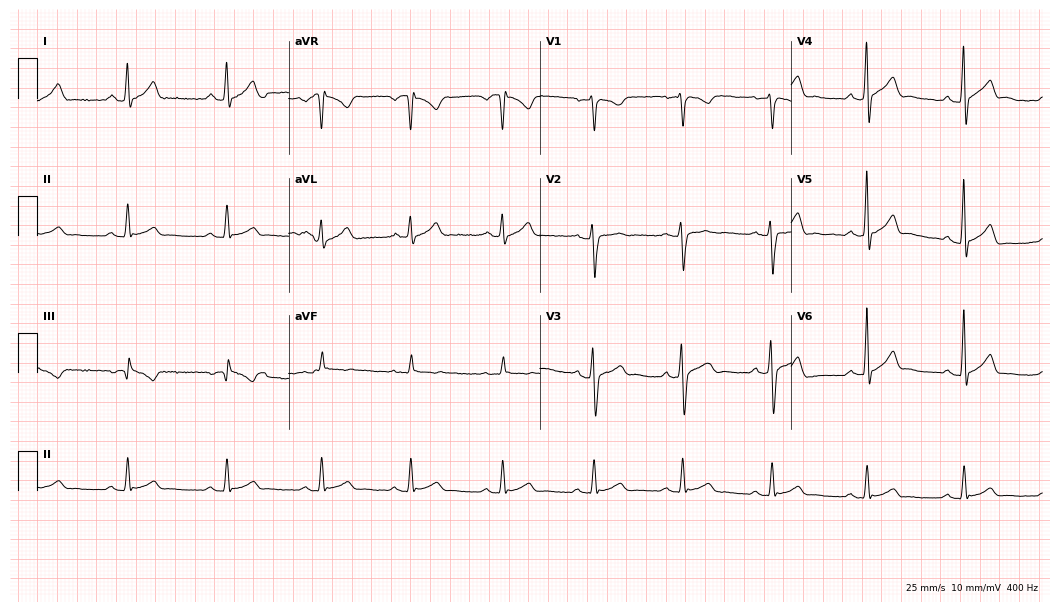
ECG (10.2-second recording at 400 Hz) — a man, 27 years old. Labelled as a normal ECG.